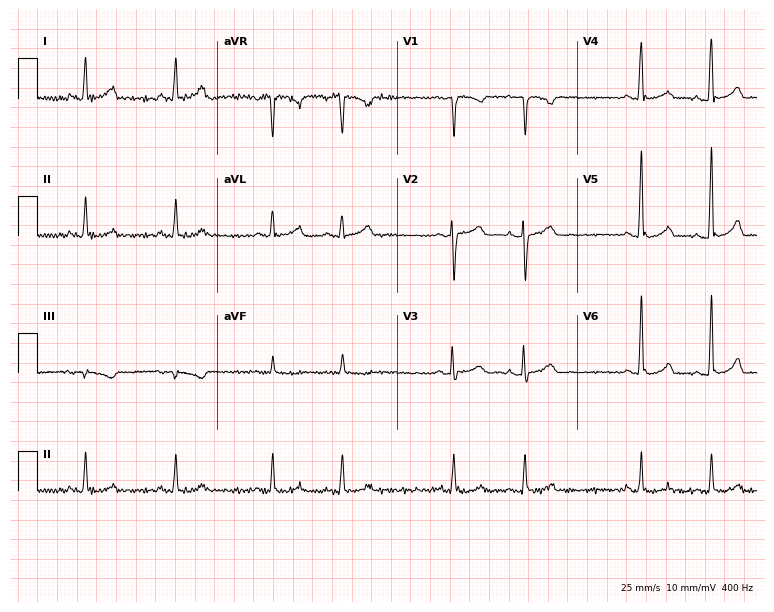
Resting 12-lead electrocardiogram (7.3-second recording at 400 Hz). Patient: a woman, 45 years old. Read as a normal ECG.